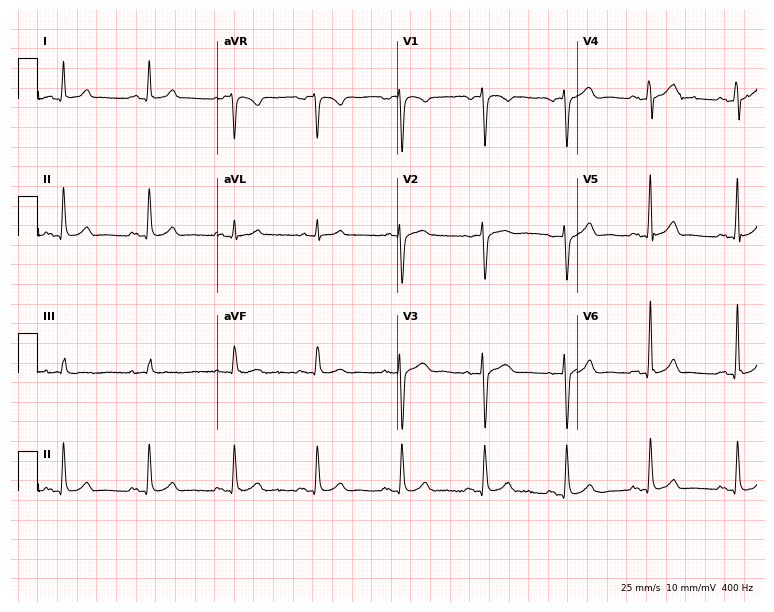
Resting 12-lead electrocardiogram (7.3-second recording at 400 Hz). Patient: a male, 60 years old. Read as a normal ECG.